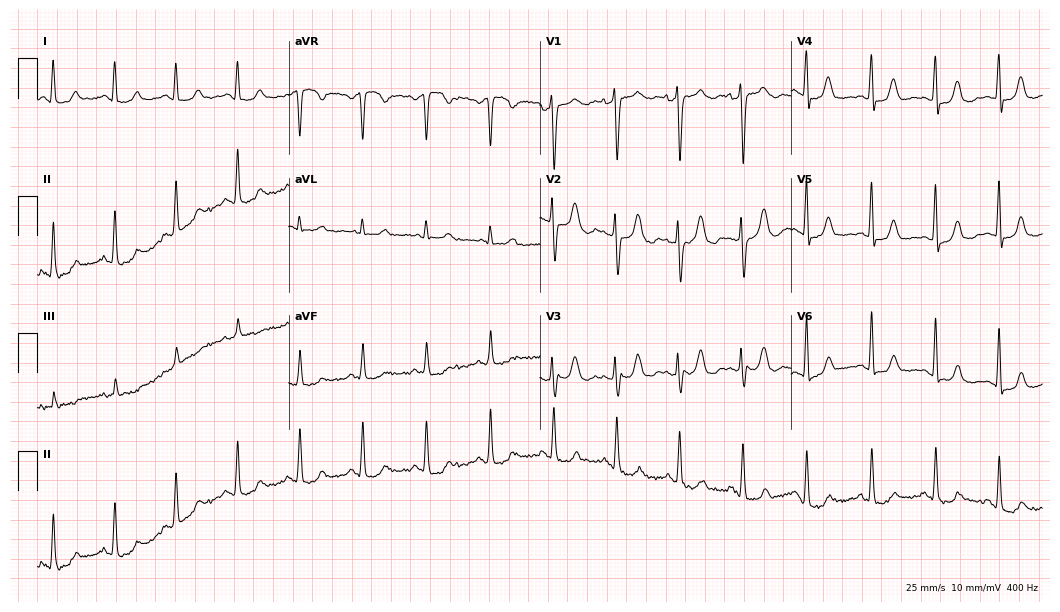
12-lead ECG (10.2-second recording at 400 Hz) from a 62-year-old female. Labelled as a normal ECG.